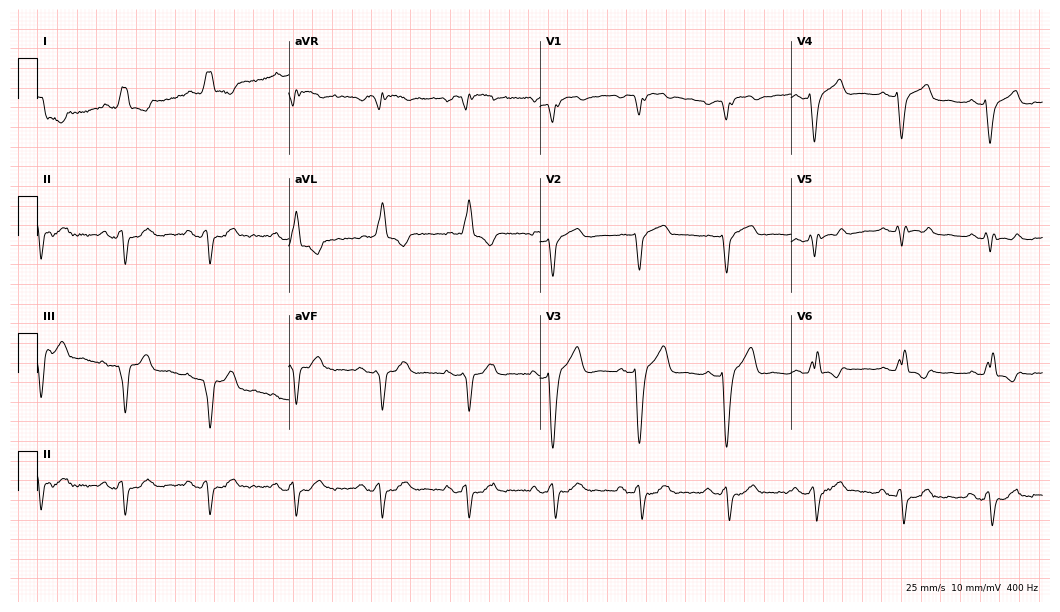
Standard 12-lead ECG recorded from a 79-year-old male (10.2-second recording at 400 Hz). The tracing shows right bundle branch block.